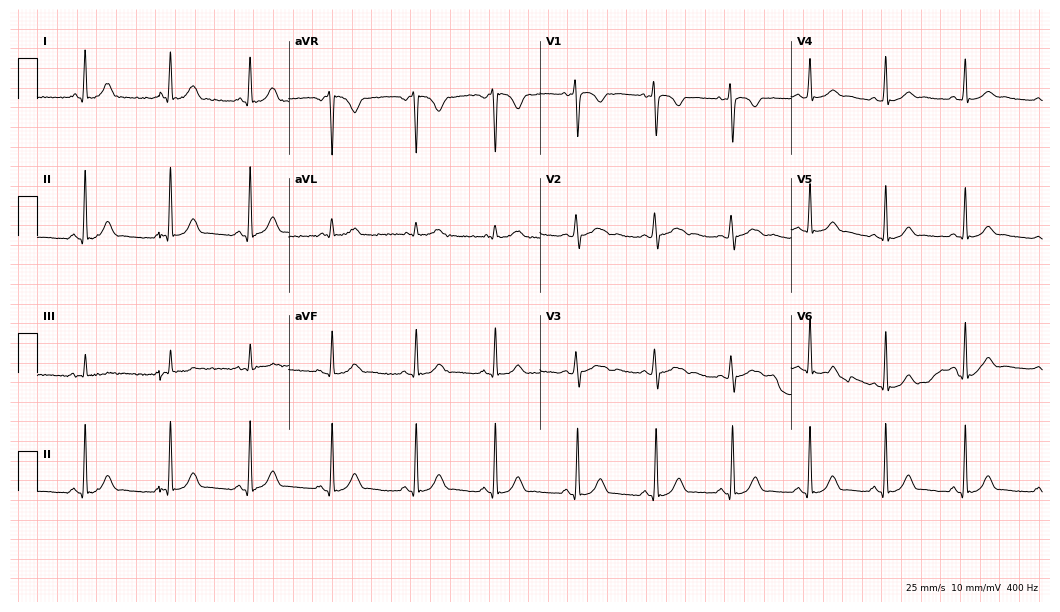
12-lead ECG from a 28-year-old female patient. No first-degree AV block, right bundle branch block, left bundle branch block, sinus bradycardia, atrial fibrillation or sinus tachycardia recorded for this tracing. Other findings, if any, are not listed.